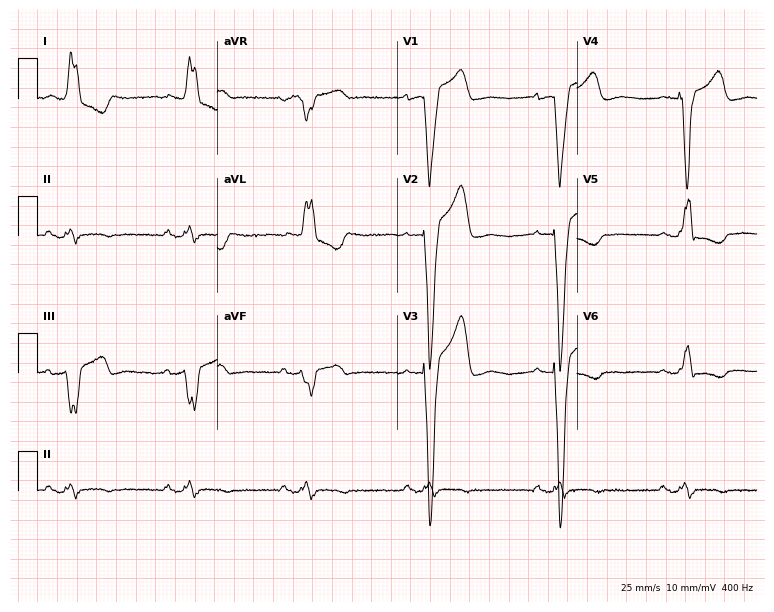
Standard 12-lead ECG recorded from a female, 70 years old (7.3-second recording at 400 Hz). The tracing shows first-degree AV block, left bundle branch block.